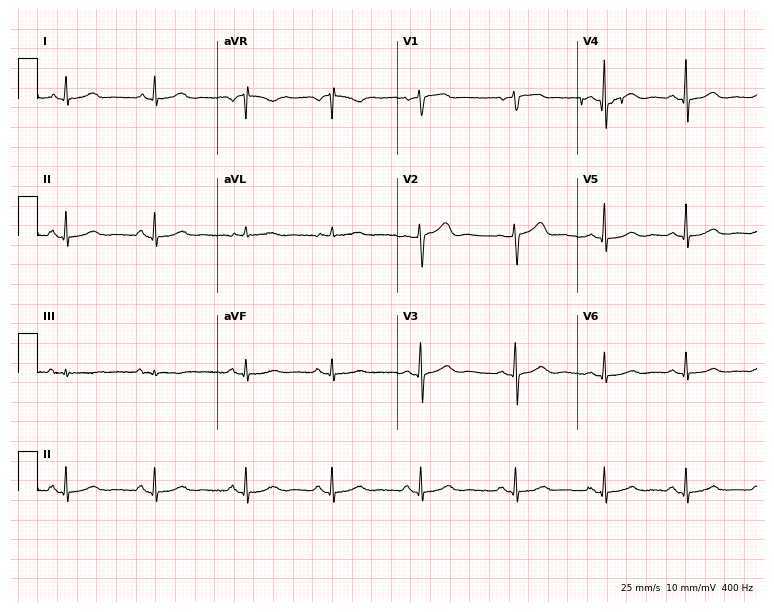
Electrocardiogram (7.3-second recording at 400 Hz), a female patient, 65 years old. Overall reading on record: normal ECG.